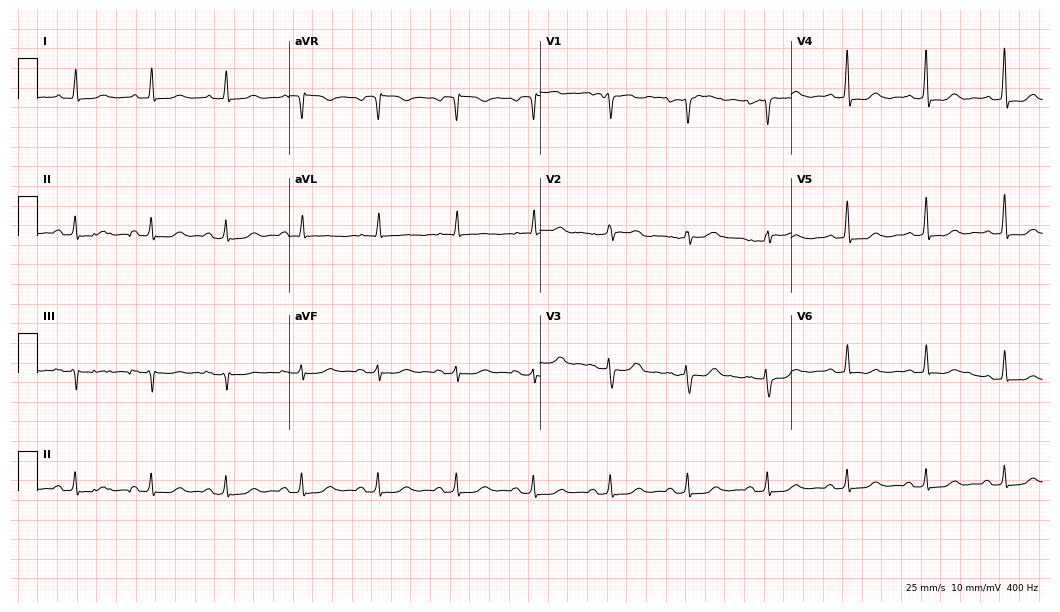
ECG — a female patient, 68 years old. Labelled as a normal ECG.